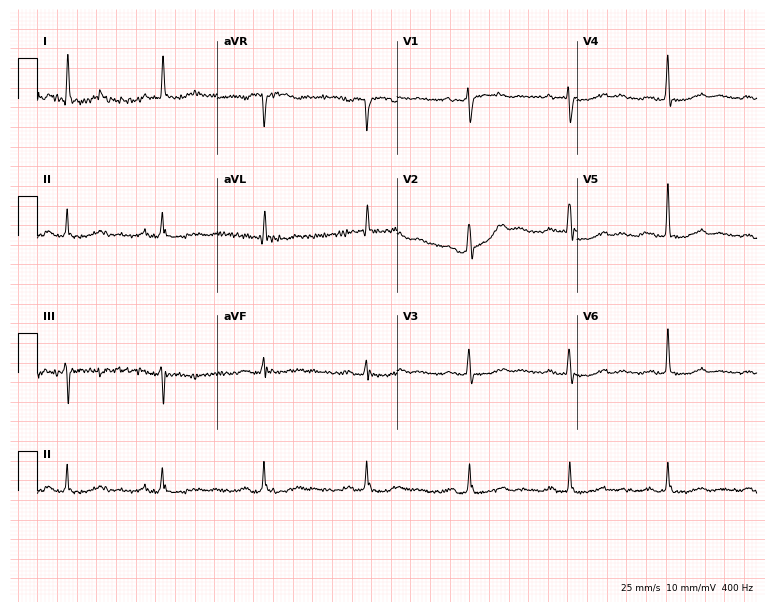
Standard 12-lead ECG recorded from an 83-year-old female patient (7.3-second recording at 400 Hz). None of these six findings is recorded: first-degree AV block, right bundle branch block, left bundle branch block, sinus bradycardia, atrial fibrillation, sinus tachycardia.